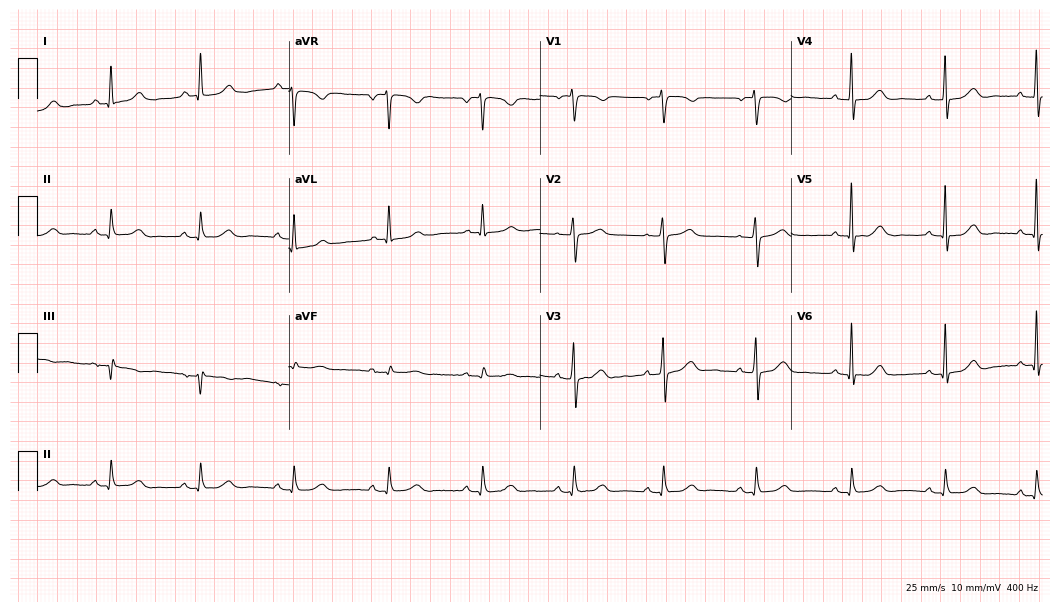
12-lead ECG from a 67-year-old woman (10.2-second recording at 400 Hz). Recorded interpretation: within normal limits.